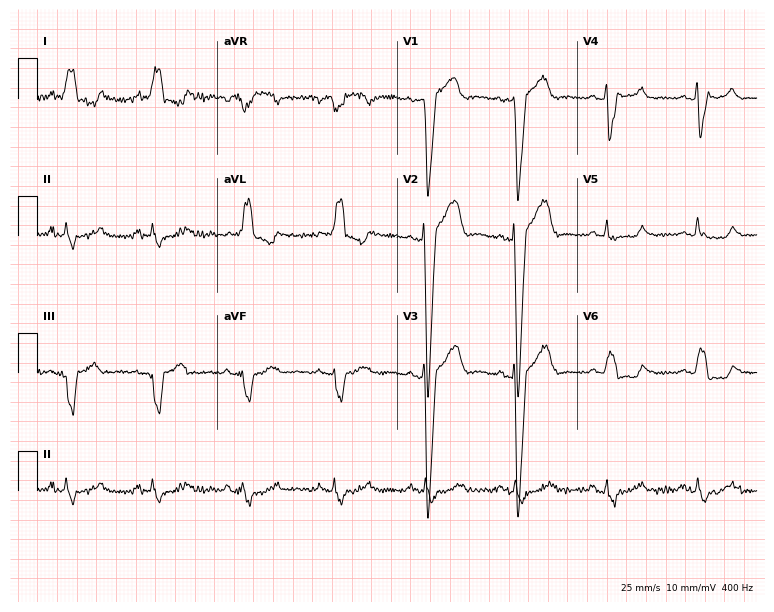
Resting 12-lead electrocardiogram (7.3-second recording at 400 Hz). Patient: an 80-year-old man. The tracing shows left bundle branch block.